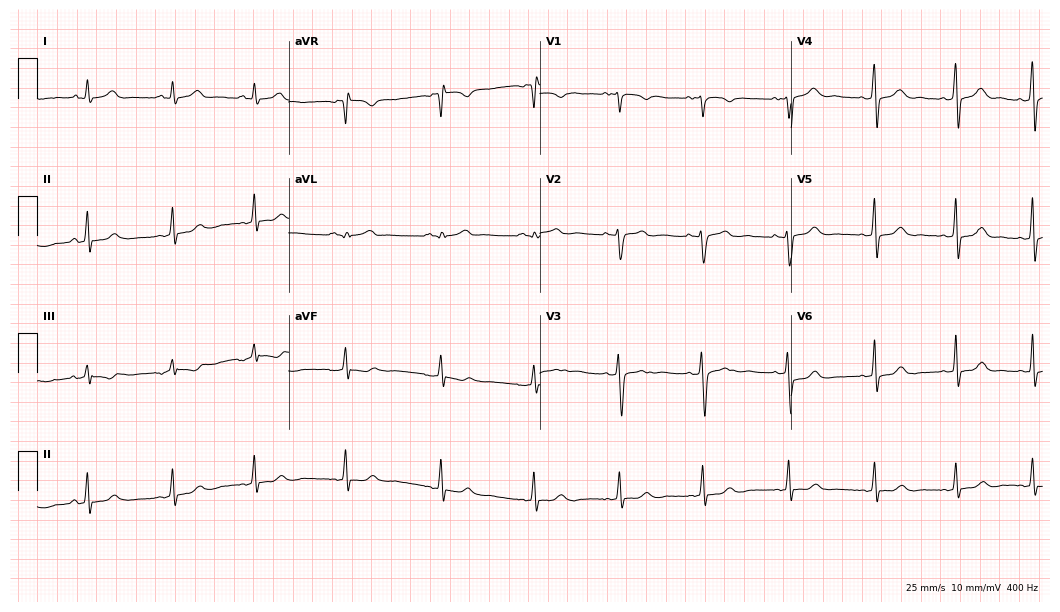
12-lead ECG (10.2-second recording at 400 Hz) from a female patient, 20 years old. Labelled as a normal ECG.